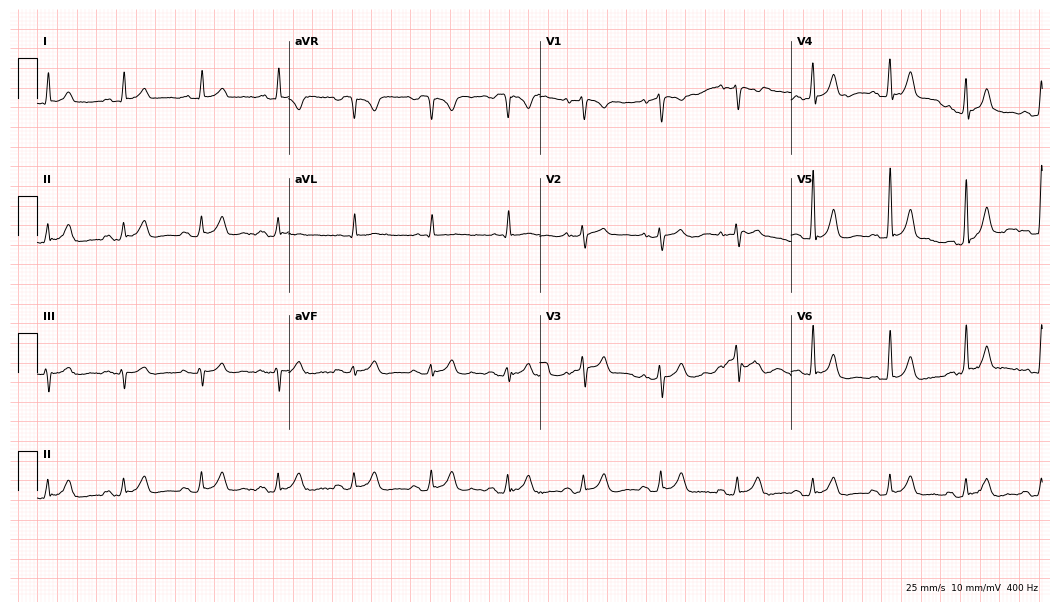
Electrocardiogram, a male patient, 70 years old. Overall reading on record: normal ECG.